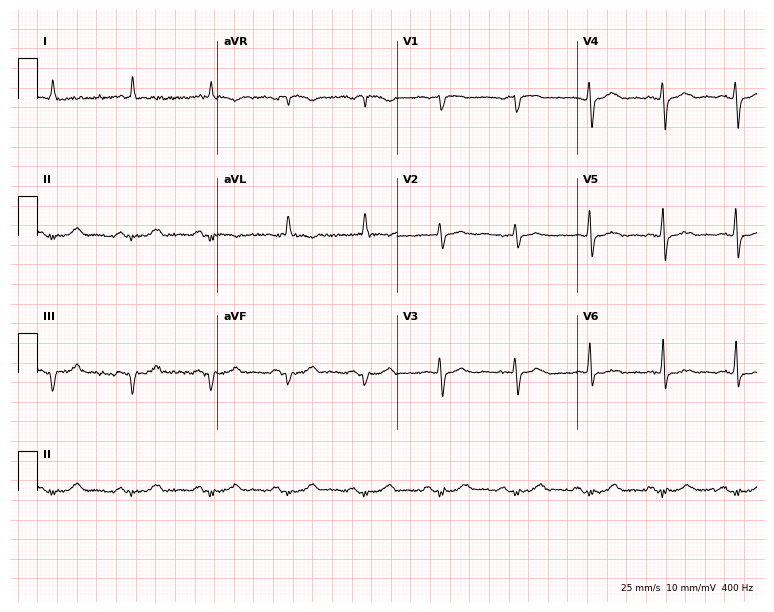
12-lead ECG (7.3-second recording at 400 Hz) from a male, 77 years old. Screened for six findings — first-degree AV block, right bundle branch block, left bundle branch block, sinus bradycardia, atrial fibrillation, sinus tachycardia — none is recorded.